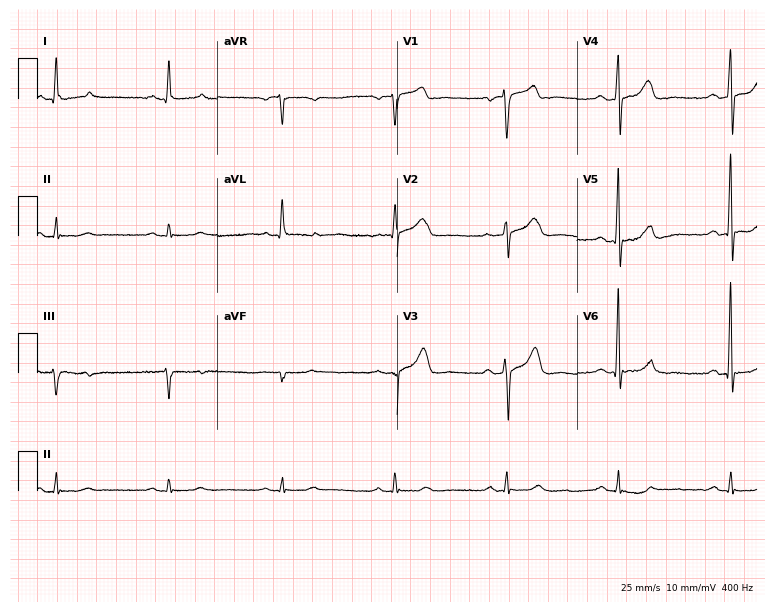
ECG (7.3-second recording at 400 Hz) — a man, 75 years old. Labelled as a normal ECG.